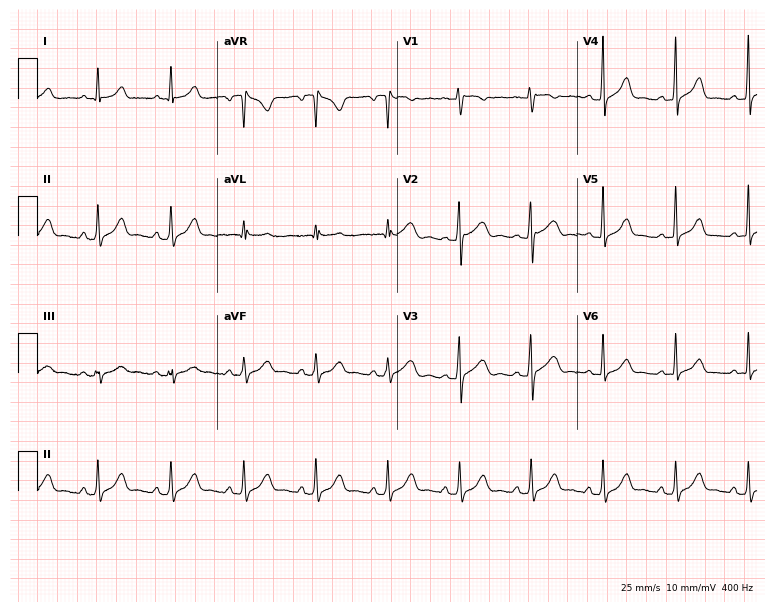
ECG — a 47-year-old female patient. Labelled as a normal ECG.